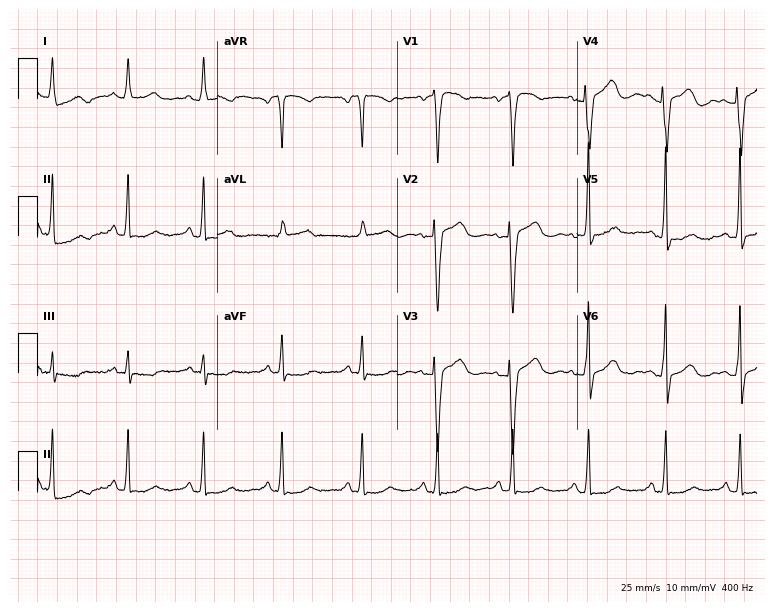
Standard 12-lead ECG recorded from a 62-year-old female (7.3-second recording at 400 Hz). Read as a normal ECG.